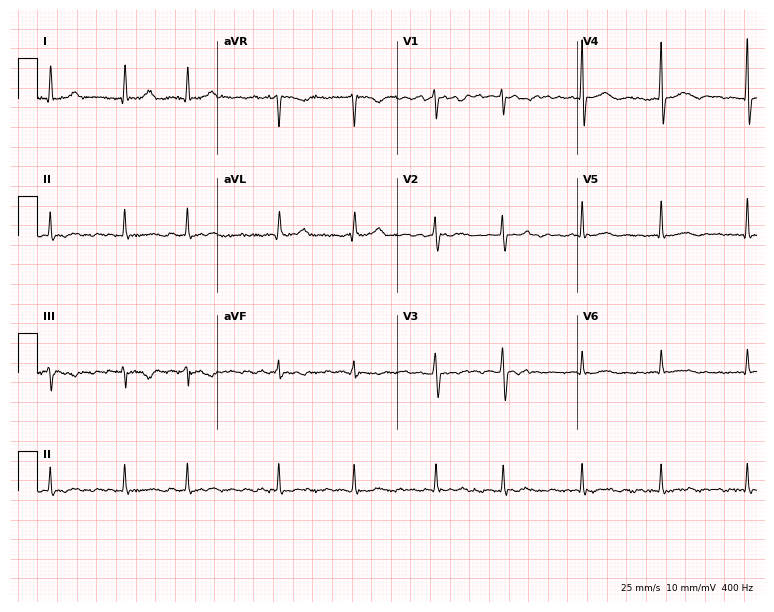
Electrocardiogram, a female, 85 years old. Interpretation includes atrial fibrillation.